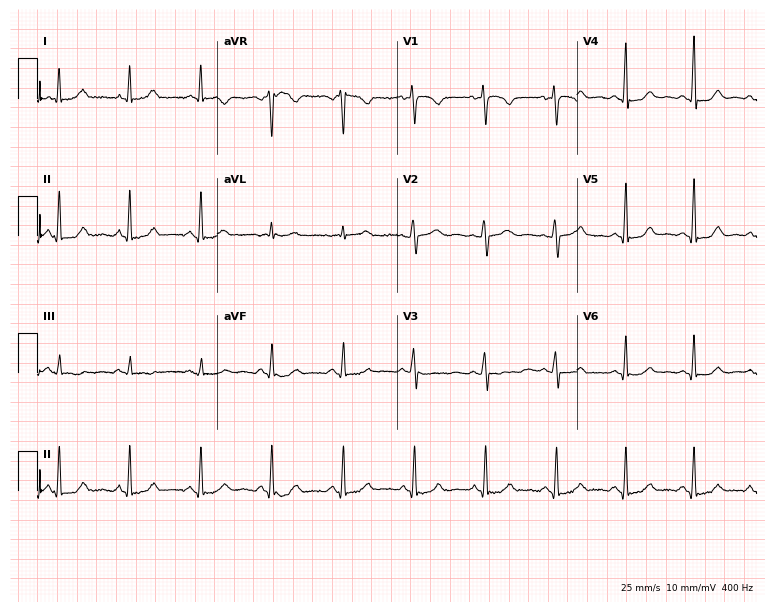
ECG (7.3-second recording at 400 Hz) — a woman, 58 years old. Labelled as a normal ECG.